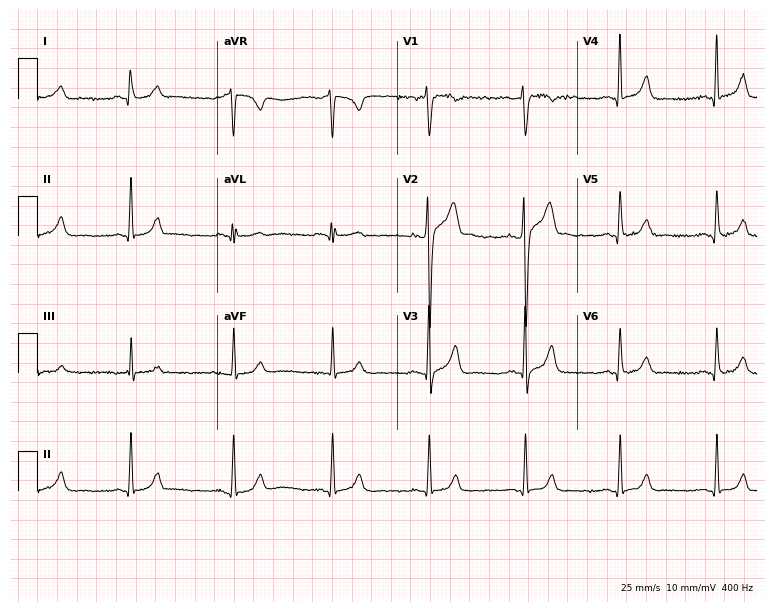
ECG — a male patient, 34 years old. Labelled as a normal ECG.